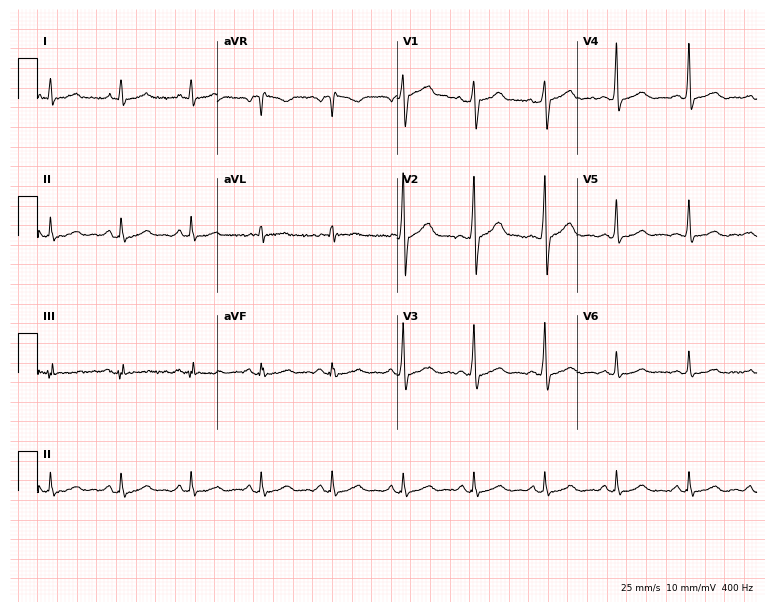
Electrocardiogram (7.3-second recording at 400 Hz), a 64-year-old man. Overall reading on record: normal ECG.